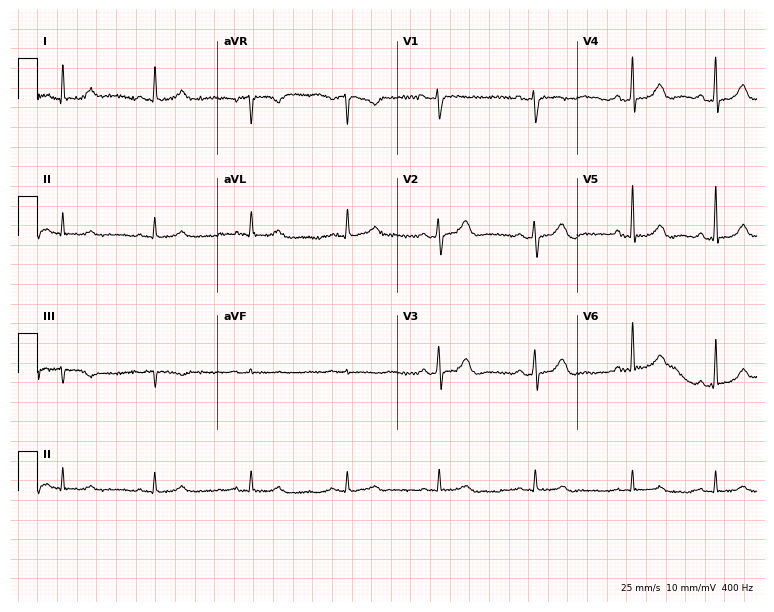
12-lead ECG from a 57-year-old female patient. Labelled as a normal ECG.